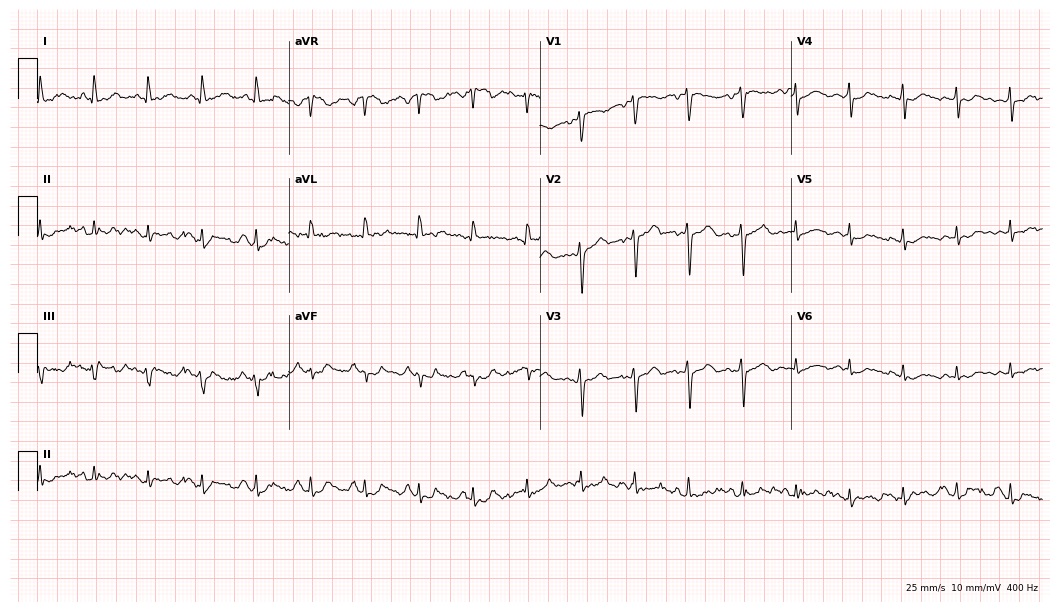
Standard 12-lead ECG recorded from a 57-year-old female. The tracing shows sinus tachycardia (a sinus rate of 100 beats per minute or more).